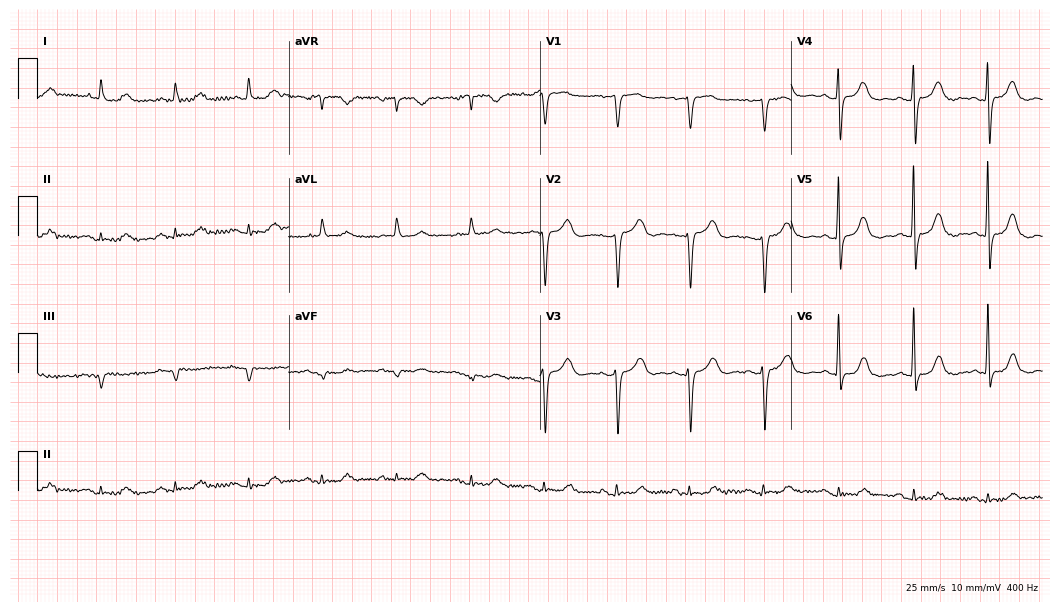
ECG (10.2-second recording at 400 Hz) — a female, 85 years old. Screened for six findings — first-degree AV block, right bundle branch block, left bundle branch block, sinus bradycardia, atrial fibrillation, sinus tachycardia — none is recorded.